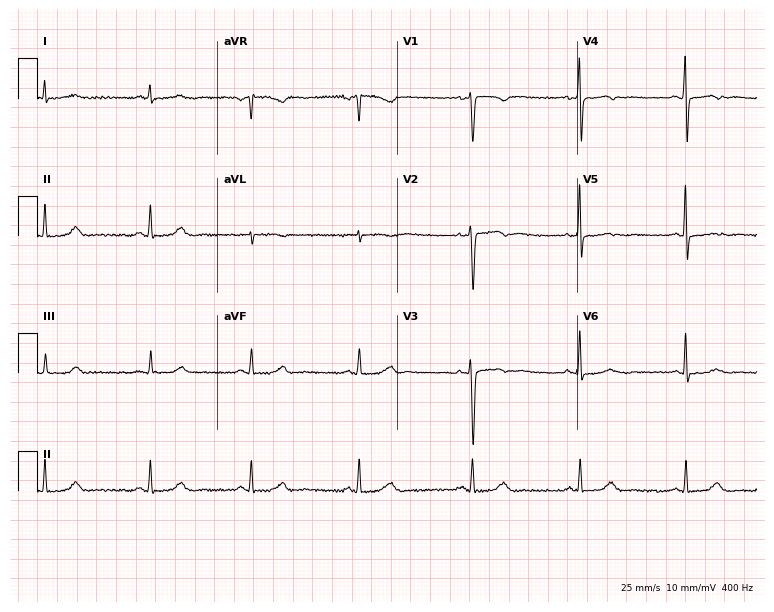
12-lead ECG from a woman, 38 years old (7.3-second recording at 400 Hz). No first-degree AV block, right bundle branch block (RBBB), left bundle branch block (LBBB), sinus bradycardia, atrial fibrillation (AF) or sinus tachycardia recorded for this tracing. Other findings, if any, are not listed.